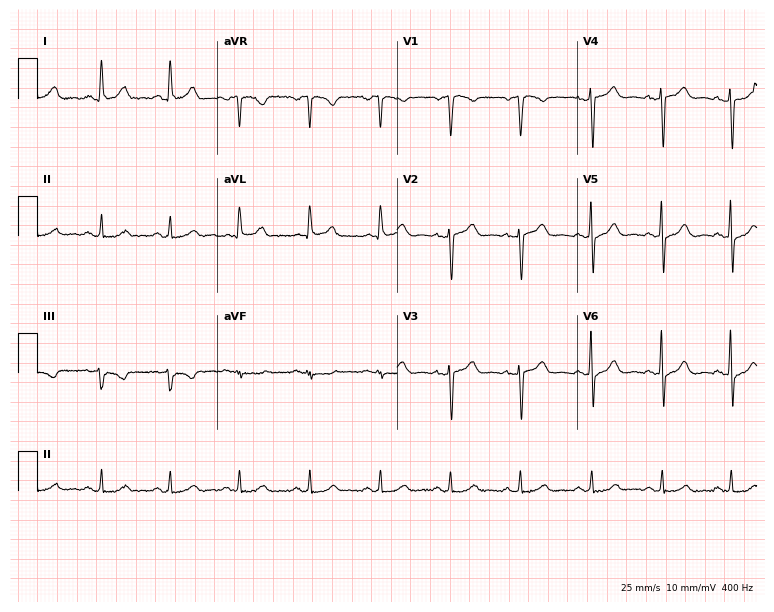
12-lead ECG from a 73-year-old male patient. No first-degree AV block, right bundle branch block, left bundle branch block, sinus bradycardia, atrial fibrillation or sinus tachycardia recorded for this tracing.